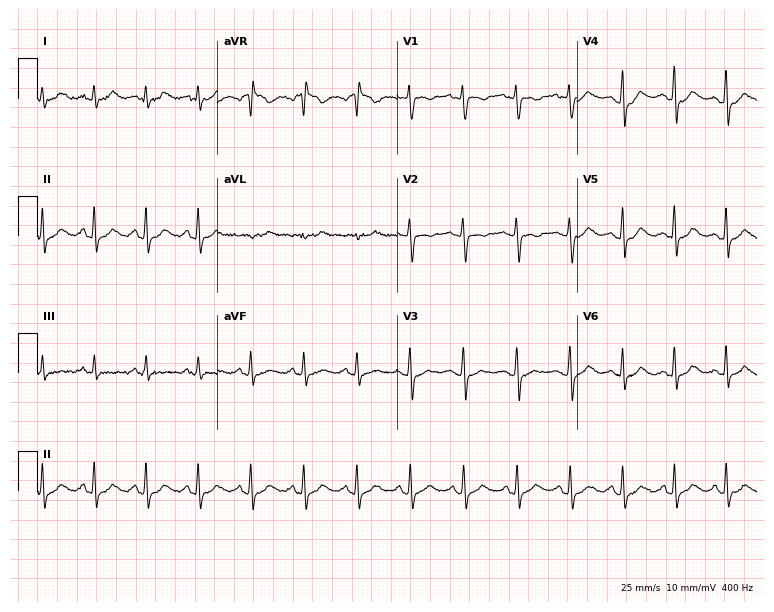
Resting 12-lead electrocardiogram (7.3-second recording at 400 Hz). Patient: a female, 21 years old. None of these six findings is recorded: first-degree AV block, right bundle branch block, left bundle branch block, sinus bradycardia, atrial fibrillation, sinus tachycardia. Only these six findings were labelled.